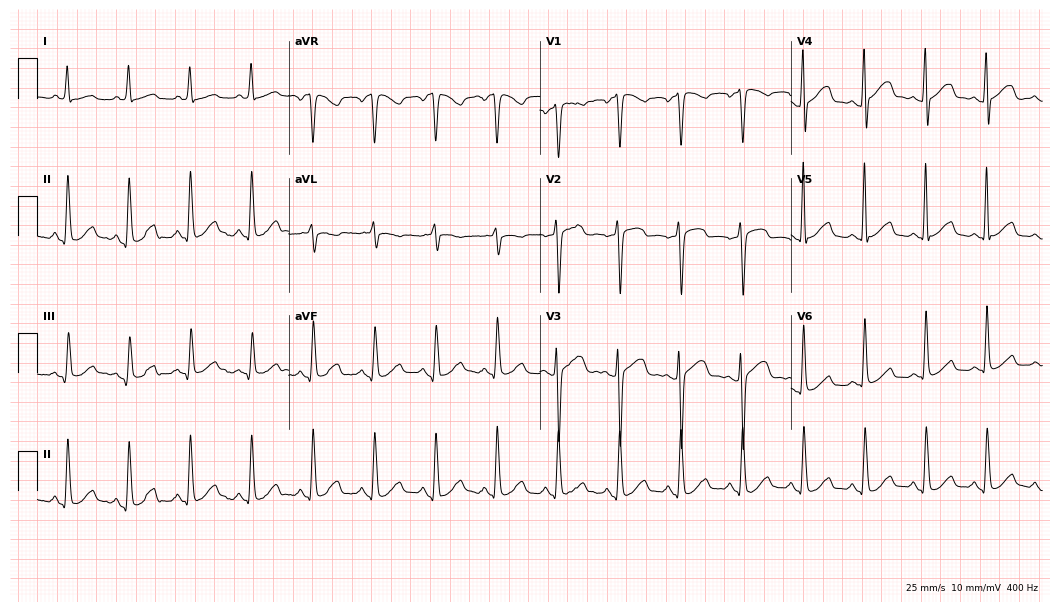
12-lead ECG from a woman, 55 years old (10.2-second recording at 400 Hz). No first-degree AV block, right bundle branch block, left bundle branch block, sinus bradycardia, atrial fibrillation or sinus tachycardia recorded for this tracing.